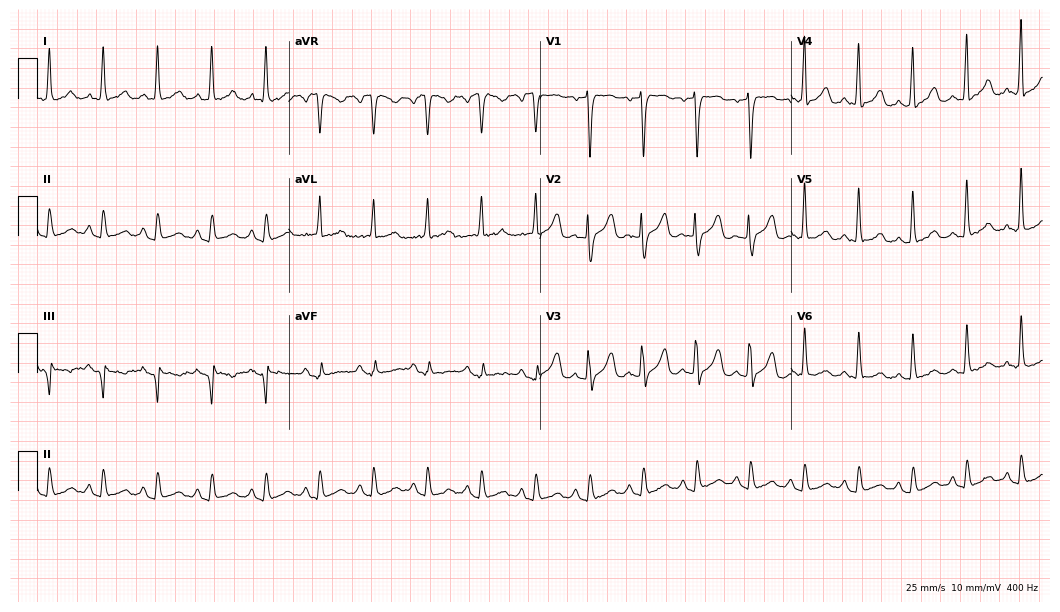
ECG — a 68-year-old female. Findings include sinus tachycardia (a sinus rate of 100 beats per minute or more).